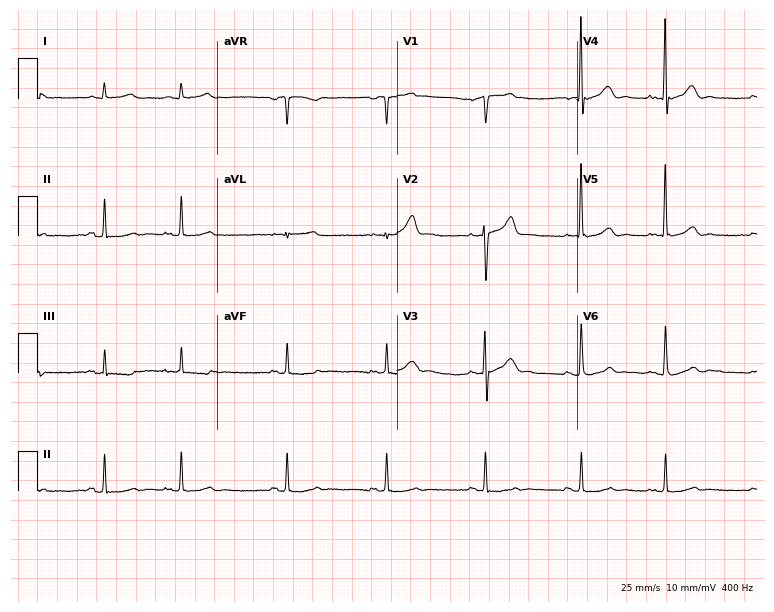
Standard 12-lead ECG recorded from a male, 72 years old. Read as a normal ECG.